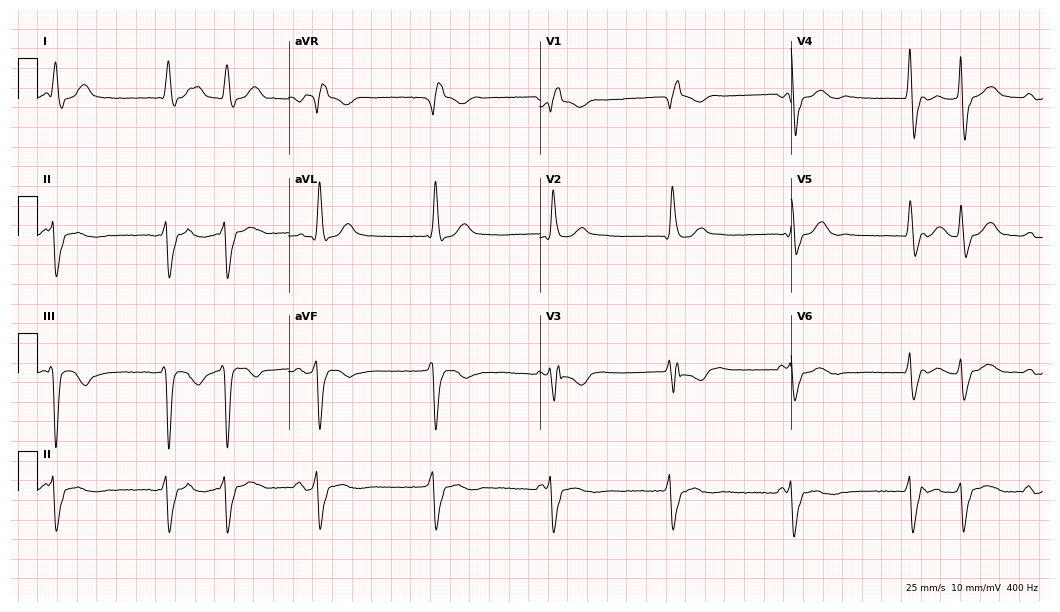
12-lead ECG (10.2-second recording at 400 Hz) from a female patient, 73 years old. Findings include right bundle branch block.